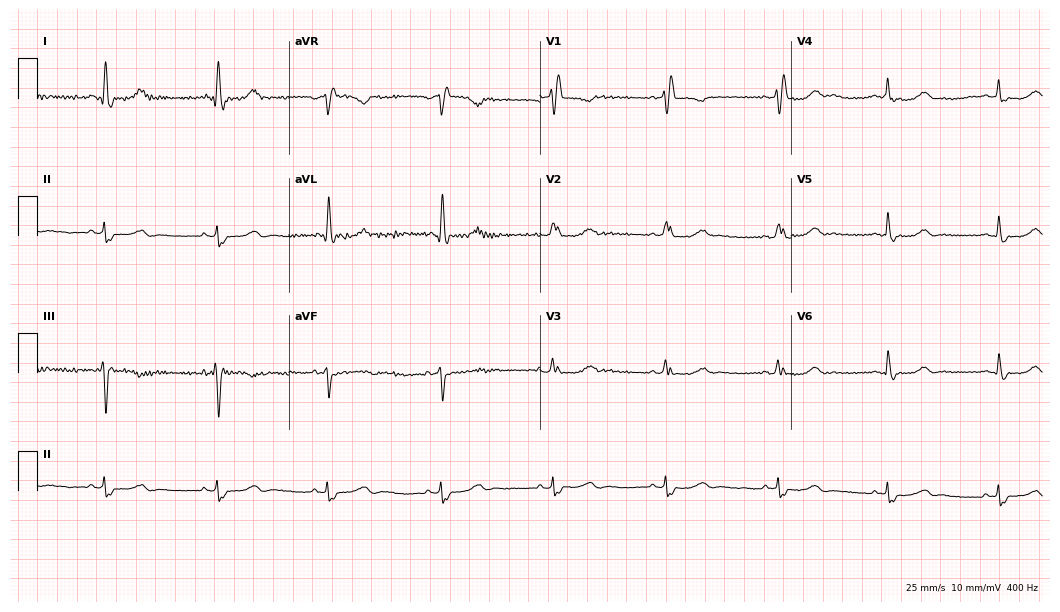
12-lead ECG from a 64-year-old female patient. No first-degree AV block, right bundle branch block, left bundle branch block, sinus bradycardia, atrial fibrillation or sinus tachycardia recorded for this tracing. Only these six findings were labelled.